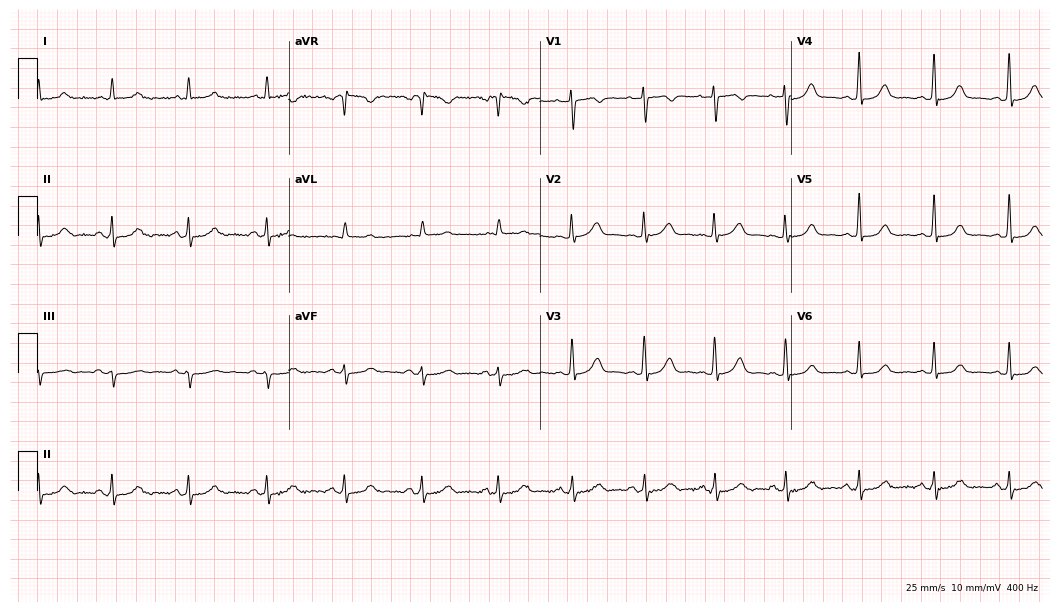
Resting 12-lead electrocardiogram. Patient: a 60-year-old female. None of these six findings is recorded: first-degree AV block, right bundle branch block, left bundle branch block, sinus bradycardia, atrial fibrillation, sinus tachycardia.